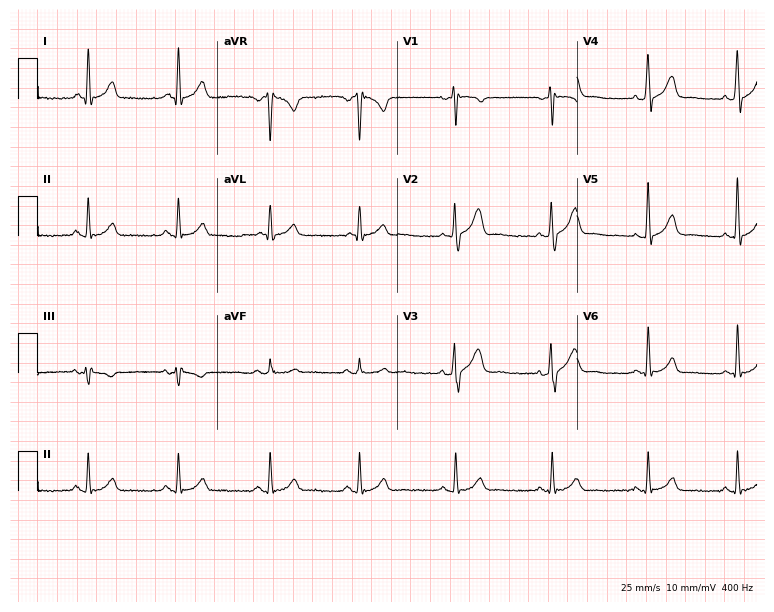
Resting 12-lead electrocardiogram (7.3-second recording at 400 Hz). Patient: a 41-year-old male. None of these six findings is recorded: first-degree AV block, right bundle branch block, left bundle branch block, sinus bradycardia, atrial fibrillation, sinus tachycardia.